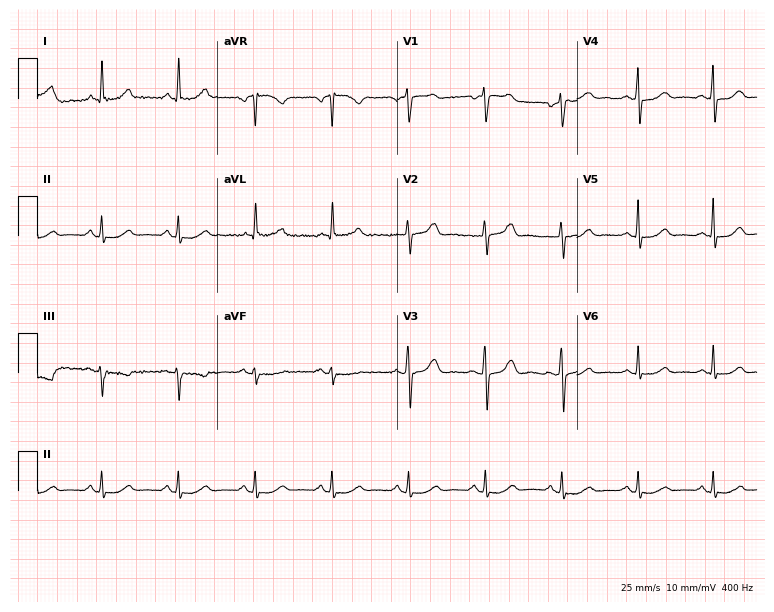
Electrocardiogram, a woman, 62 years old. Overall reading on record: normal ECG.